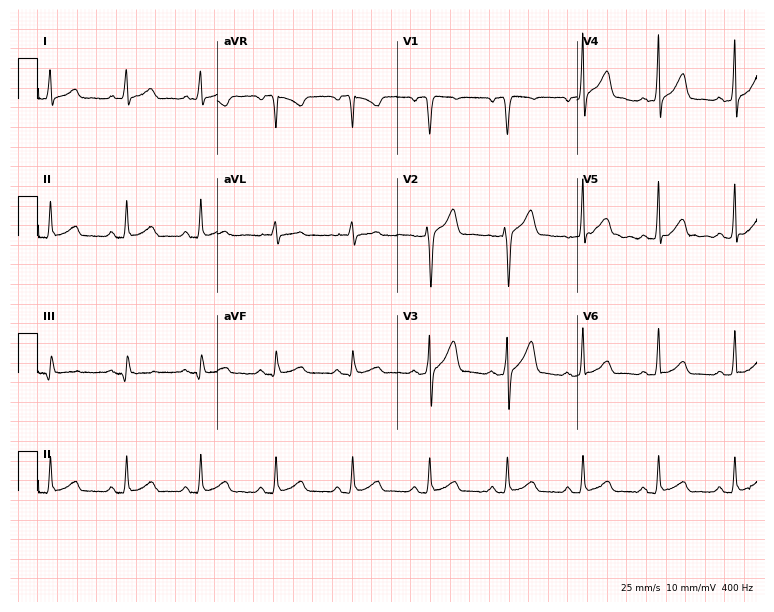
Electrocardiogram, a 51-year-old man. Overall reading on record: normal ECG.